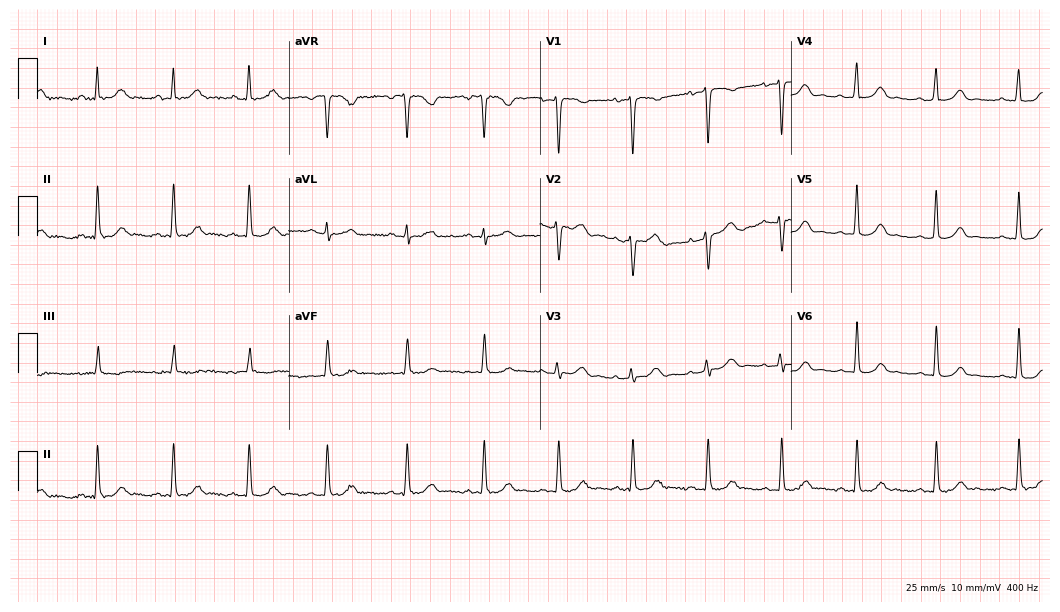
Resting 12-lead electrocardiogram (10.2-second recording at 400 Hz). Patient: a 30-year-old female. Read as a normal ECG.